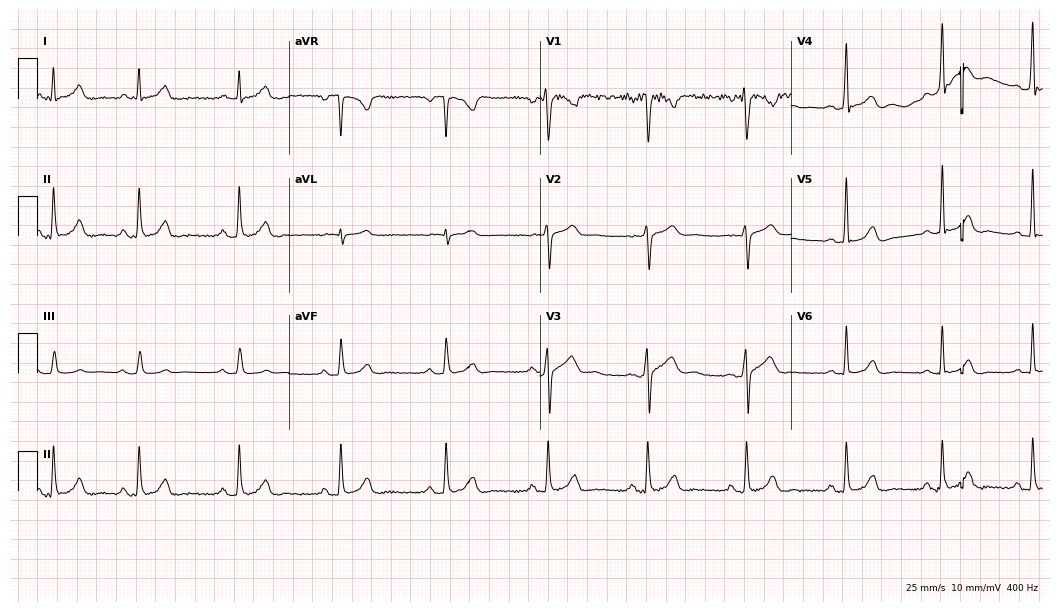
Resting 12-lead electrocardiogram. Patient: a male, 32 years old. Read as a normal ECG.